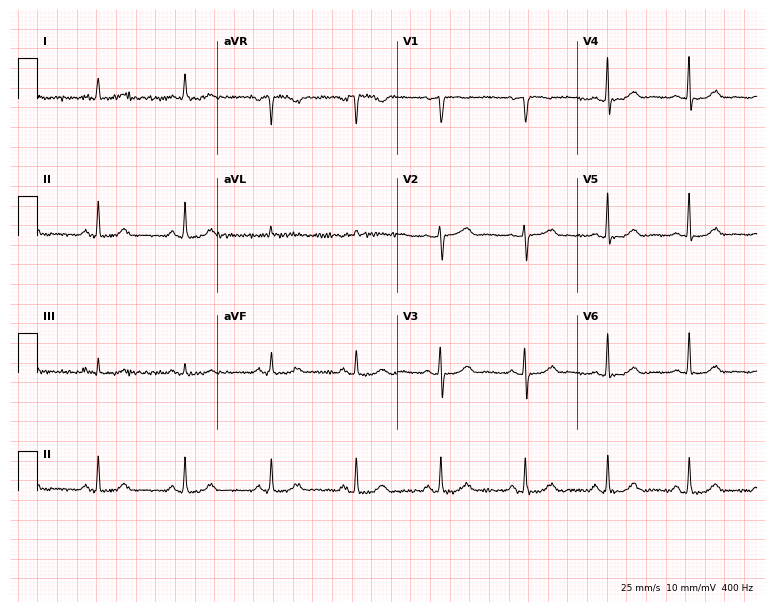
12-lead ECG from a woman, 70 years old. Labelled as a normal ECG.